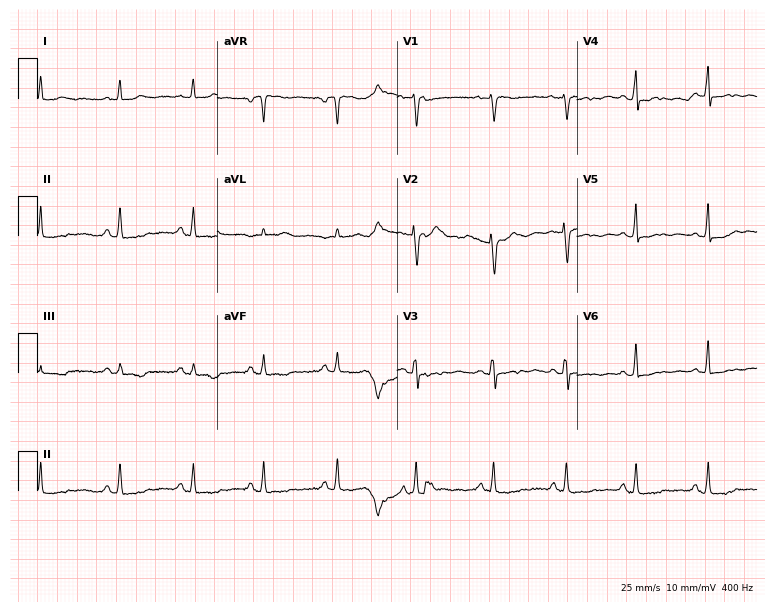
Resting 12-lead electrocardiogram (7.3-second recording at 400 Hz). Patient: a female, 41 years old. None of these six findings is recorded: first-degree AV block, right bundle branch block, left bundle branch block, sinus bradycardia, atrial fibrillation, sinus tachycardia. Other findings, if any, are not listed.